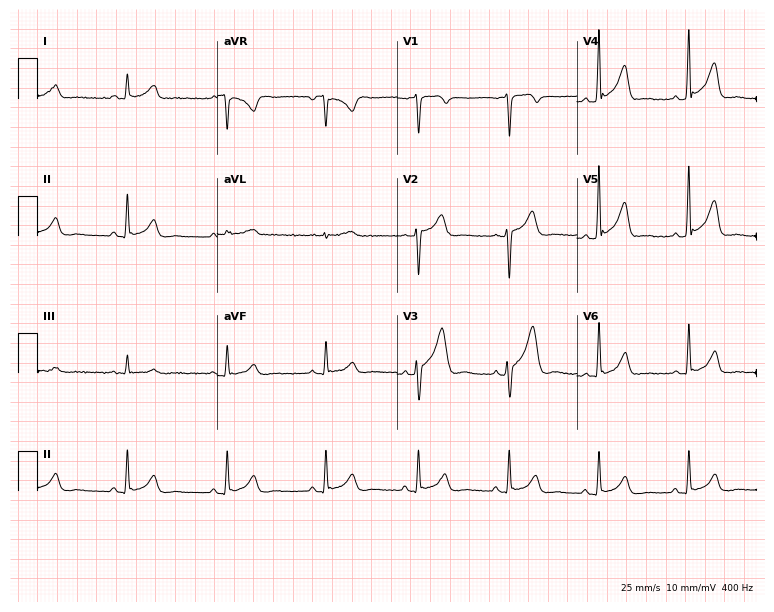
Electrocardiogram (7.3-second recording at 400 Hz), a man, 36 years old. Of the six screened findings (first-degree AV block, right bundle branch block, left bundle branch block, sinus bradycardia, atrial fibrillation, sinus tachycardia), none is recorded. Findings outside these six are not listed.